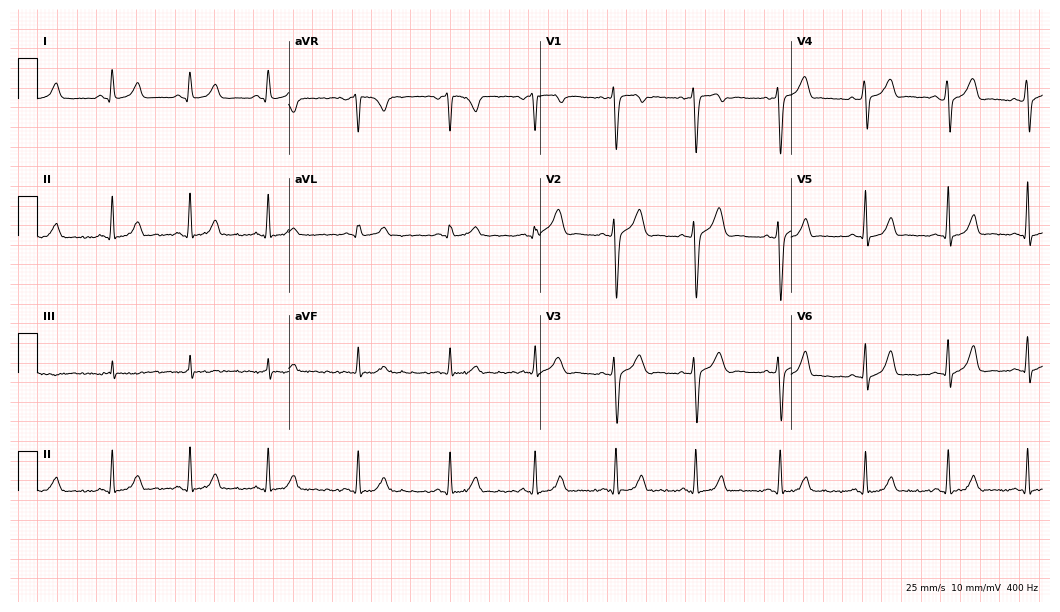
12-lead ECG from a male, 21 years old (10.2-second recording at 400 Hz). Recorded interpretation: within normal limits.